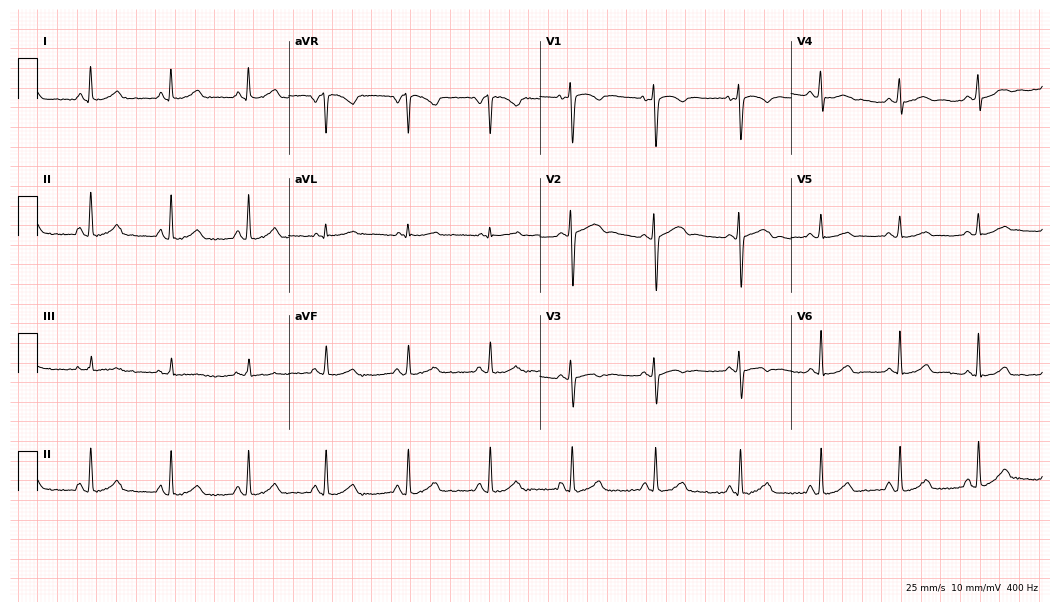
Standard 12-lead ECG recorded from a woman, 23 years old. Read as a normal ECG.